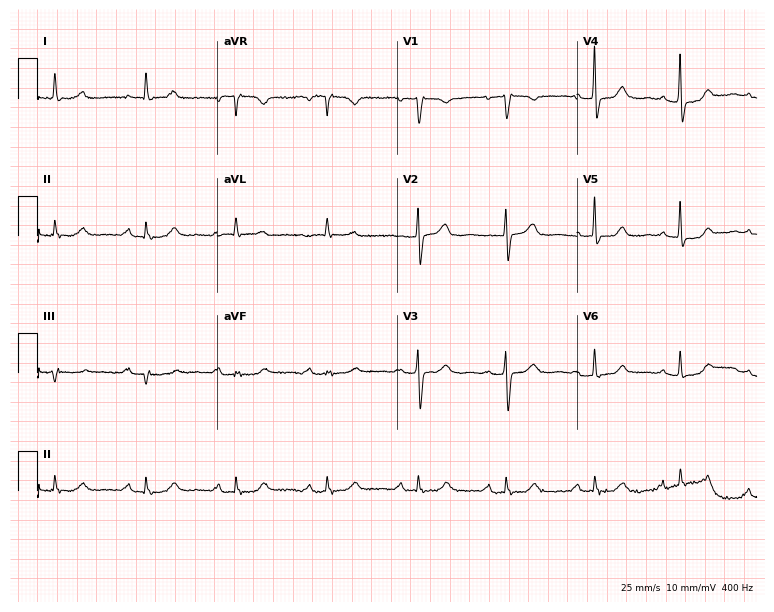
12-lead ECG (7.3-second recording at 400 Hz) from a female, 73 years old. Labelled as a normal ECG.